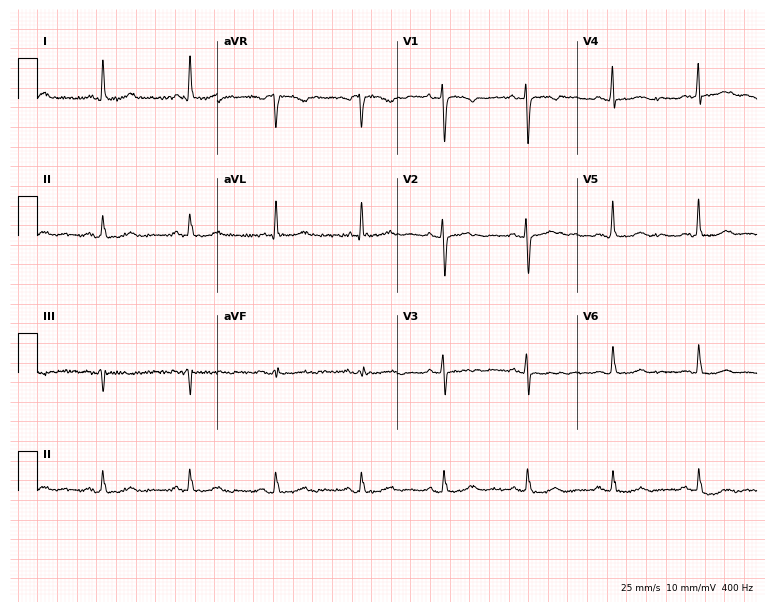
ECG (7.3-second recording at 400 Hz) — a 78-year-old female. Labelled as a normal ECG.